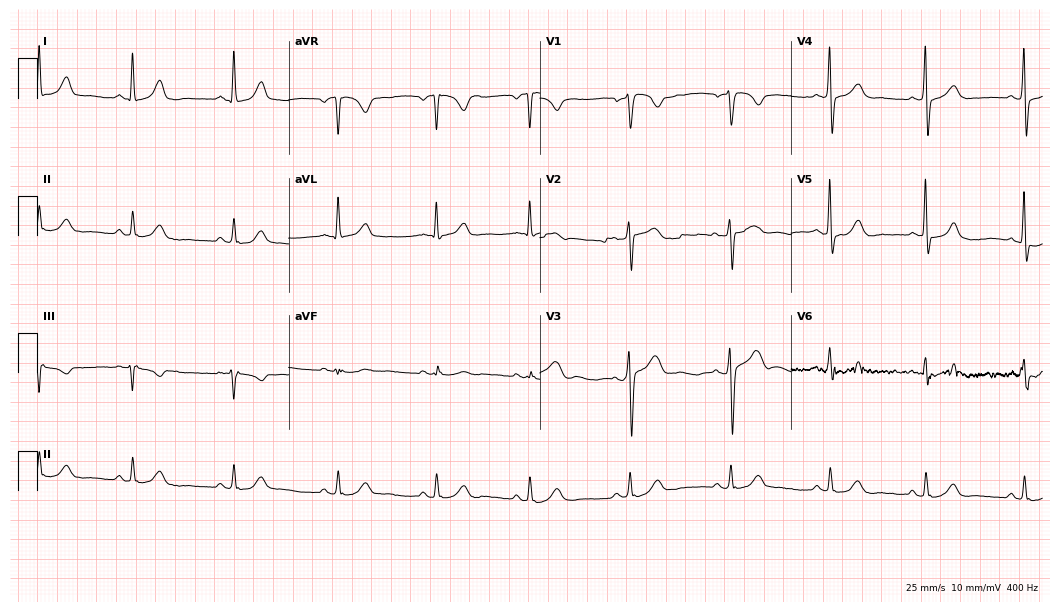
Standard 12-lead ECG recorded from a 39-year-old man. Read as a normal ECG.